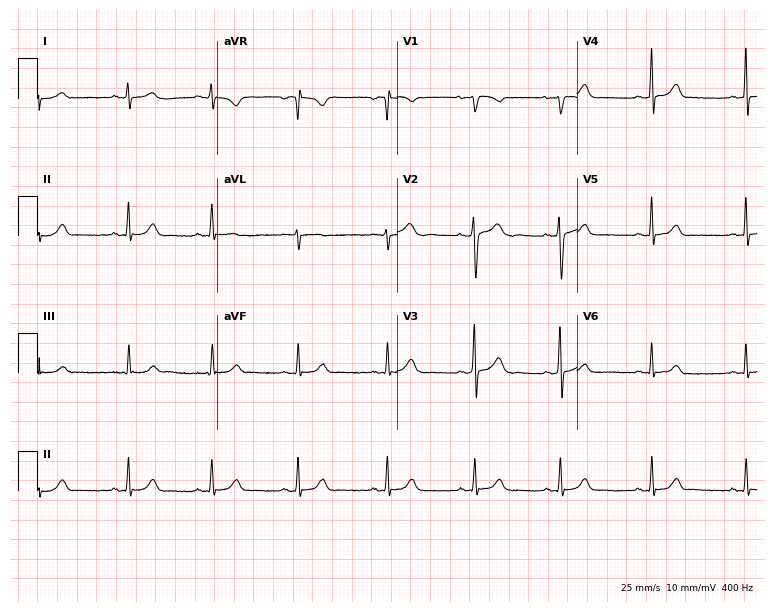
Electrocardiogram, a female, 19 years old. Overall reading on record: normal ECG.